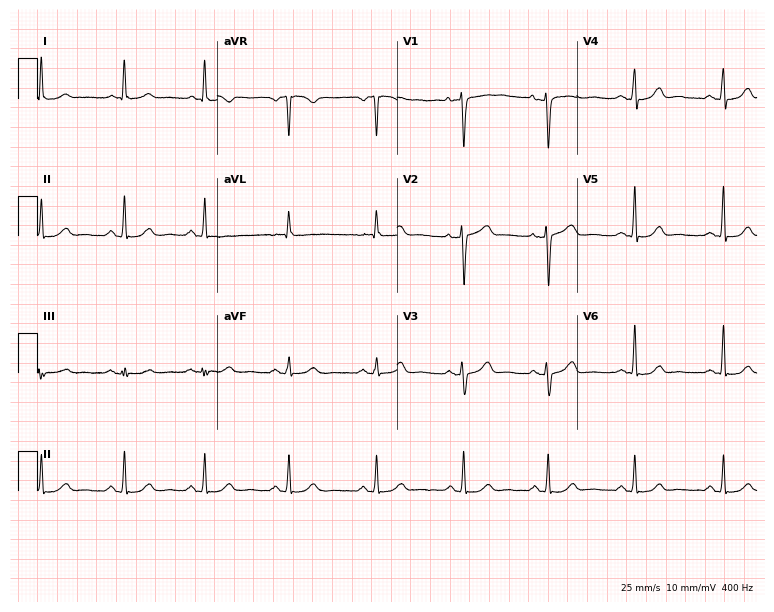
Electrocardiogram (7.3-second recording at 400 Hz), a female, 67 years old. Overall reading on record: normal ECG.